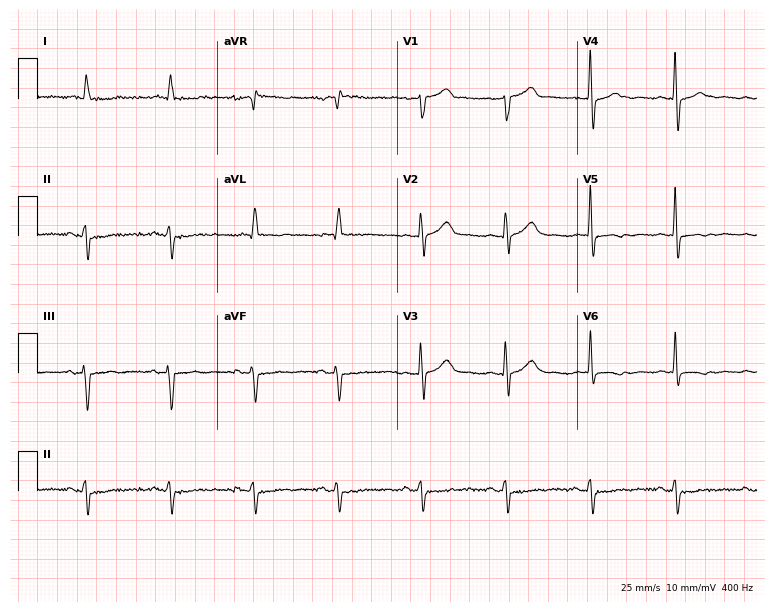
12-lead ECG from a man, 71 years old (7.3-second recording at 400 Hz). No first-degree AV block, right bundle branch block, left bundle branch block, sinus bradycardia, atrial fibrillation or sinus tachycardia recorded for this tracing.